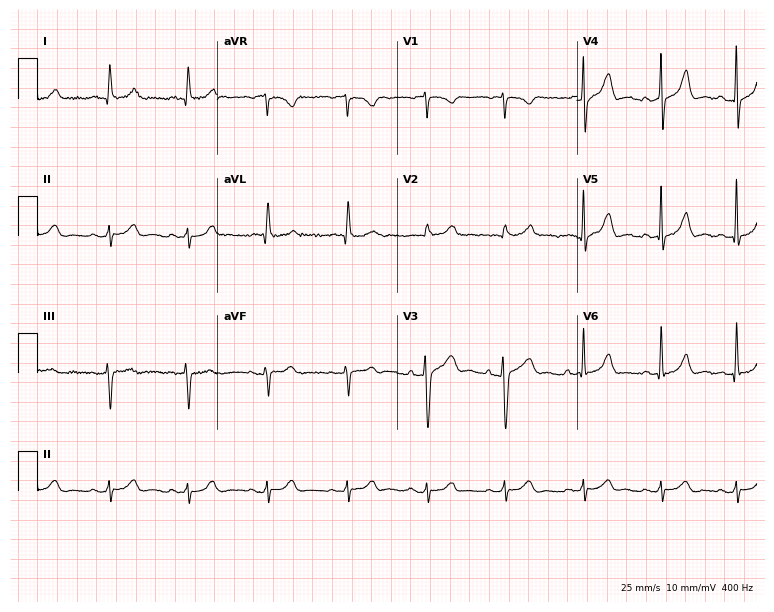
Resting 12-lead electrocardiogram (7.3-second recording at 400 Hz). Patient: a 62-year-old man. None of these six findings is recorded: first-degree AV block, right bundle branch block, left bundle branch block, sinus bradycardia, atrial fibrillation, sinus tachycardia.